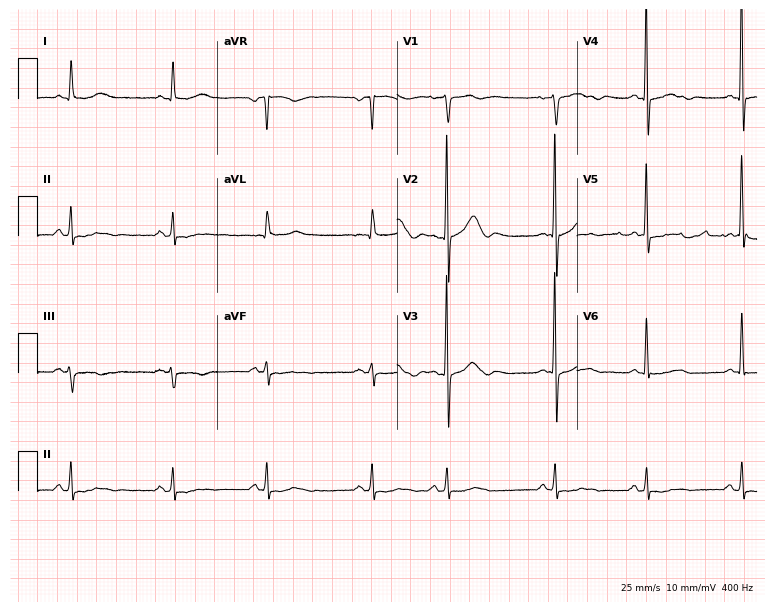
Electrocardiogram (7.3-second recording at 400 Hz), a woman, 85 years old. Of the six screened findings (first-degree AV block, right bundle branch block, left bundle branch block, sinus bradycardia, atrial fibrillation, sinus tachycardia), none is recorded.